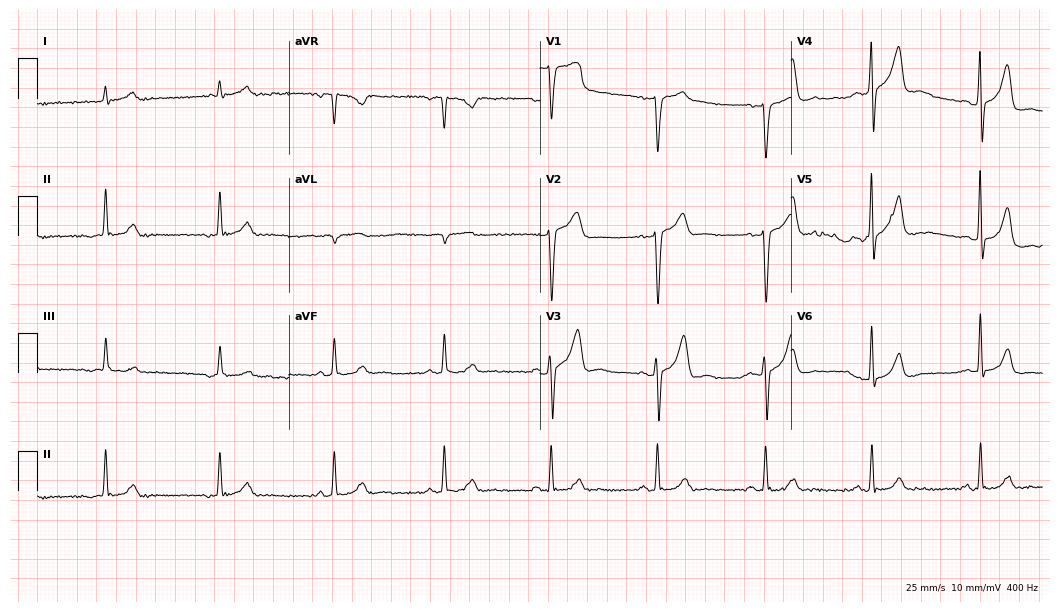
Standard 12-lead ECG recorded from a male patient, 68 years old. Read as a normal ECG.